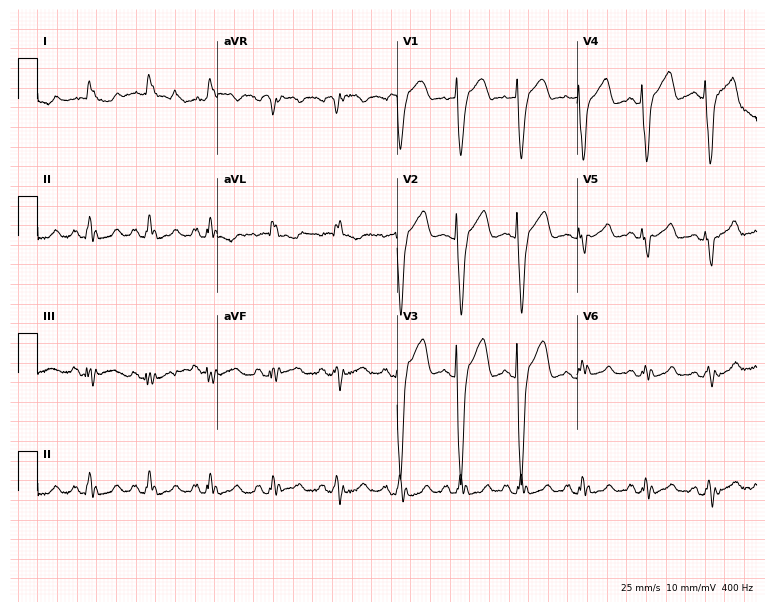
Standard 12-lead ECG recorded from a 74-year-old woman (7.3-second recording at 400 Hz). The tracing shows left bundle branch block.